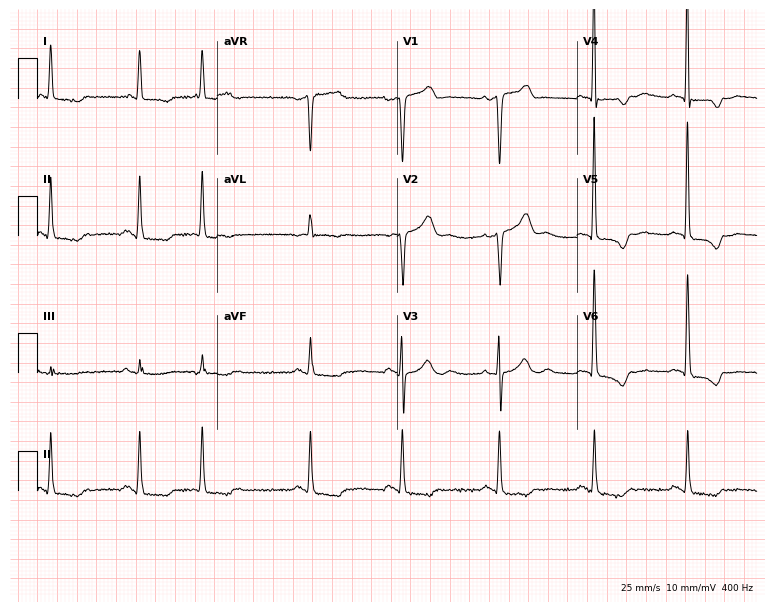
Electrocardiogram (7.3-second recording at 400 Hz), a woman, 82 years old. Of the six screened findings (first-degree AV block, right bundle branch block (RBBB), left bundle branch block (LBBB), sinus bradycardia, atrial fibrillation (AF), sinus tachycardia), none is recorded.